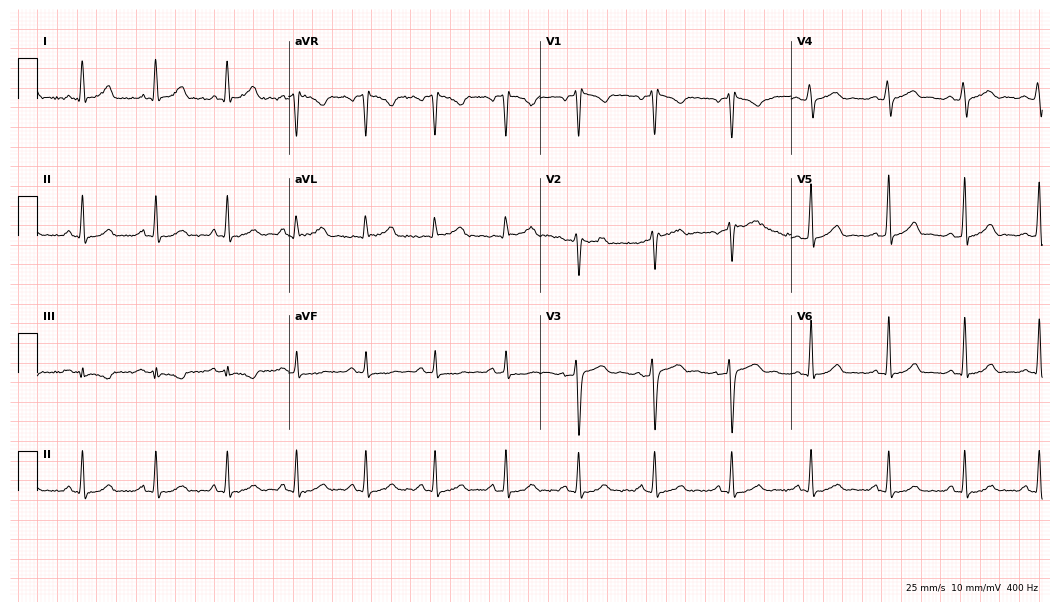
Resting 12-lead electrocardiogram (10.2-second recording at 400 Hz). Patient: a man, 31 years old. None of these six findings is recorded: first-degree AV block, right bundle branch block, left bundle branch block, sinus bradycardia, atrial fibrillation, sinus tachycardia.